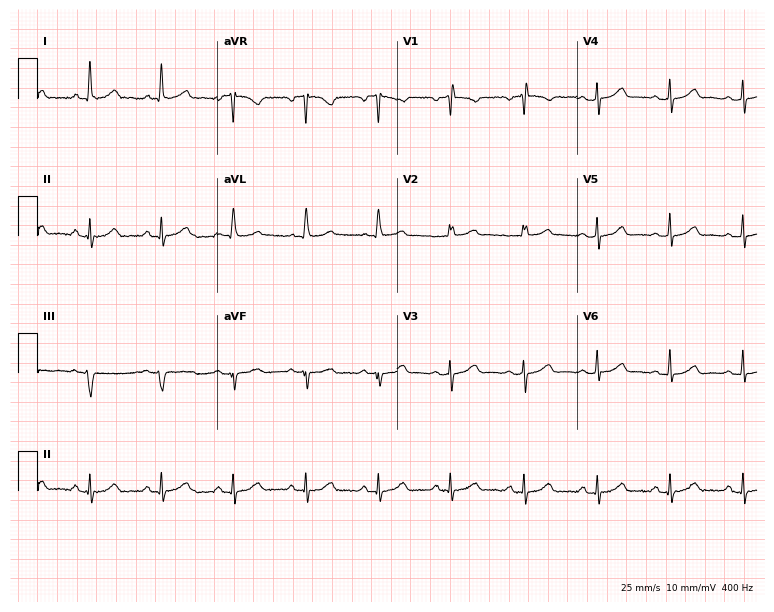
12-lead ECG (7.3-second recording at 400 Hz) from a 69-year-old female. Labelled as a normal ECG.